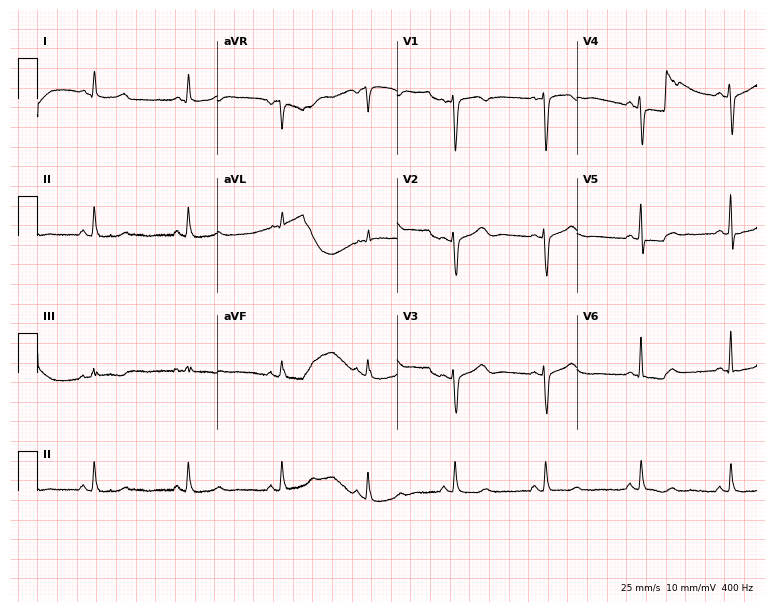
12-lead ECG from a 29-year-old female. Recorded interpretation: within normal limits.